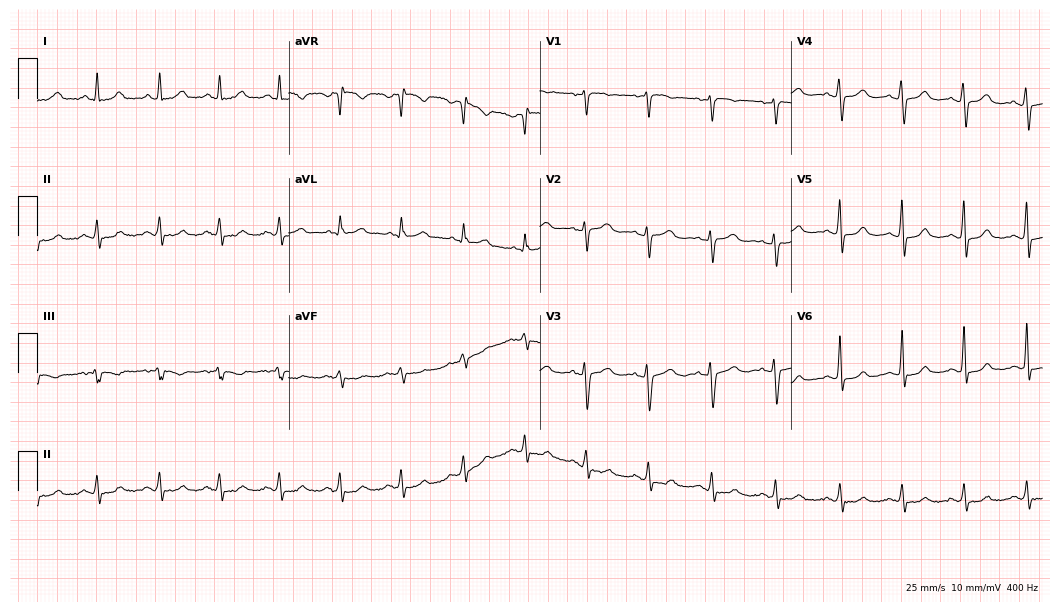
12-lead ECG from a 42-year-old woman. Screened for six findings — first-degree AV block, right bundle branch block (RBBB), left bundle branch block (LBBB), sinus bradycardia, atrial fibrillation (AF), sinus tachycardia — none is recorded. Only these six findings were labelled.